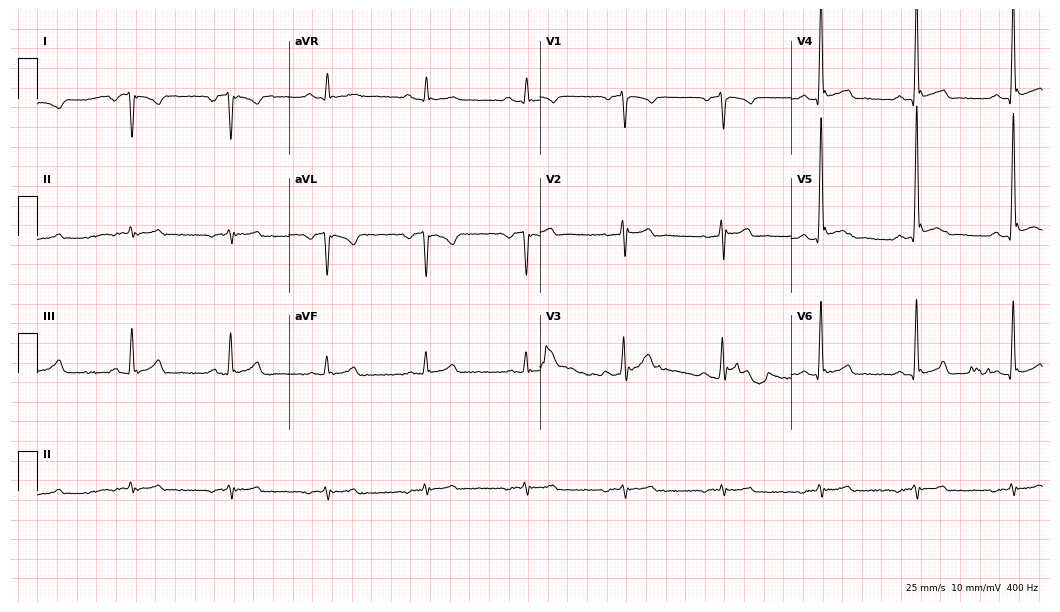
12-lead ECG (10.2-second recording at 400 Hz) from a 41-year-old male patient. Screened for six findings — first-degree AV block, right bundle branch block, left bundle branch block, sinus bradycardia, atrial fibrillation, sinus tachycardia — none is recorded. Other findings, if any, are not listed.